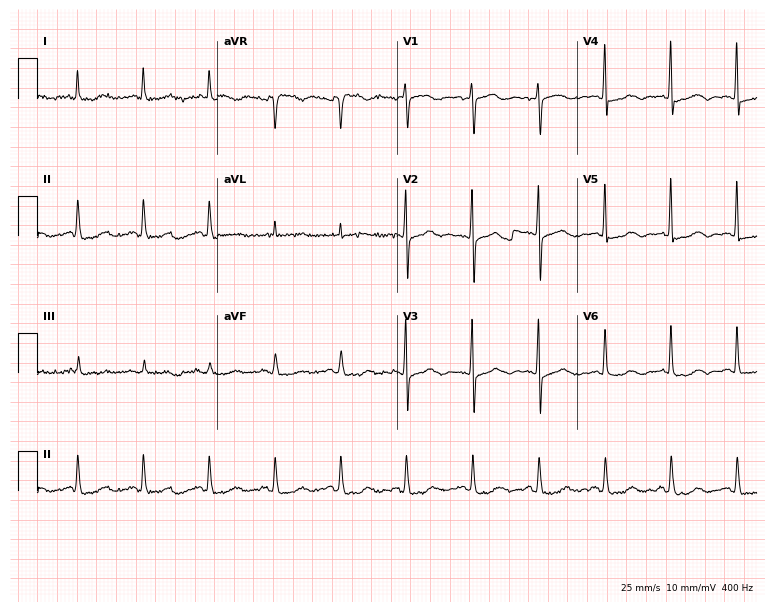
Electrocardiogram (7.3-second recording at 400 Hz), an 84-year-old woman. Of the six screened findings (first-degree AV block, right bundle branch block, left bundle branch block, sinus bradycardia, atrial fibrillation, sinus tachycardia), none is recorded.